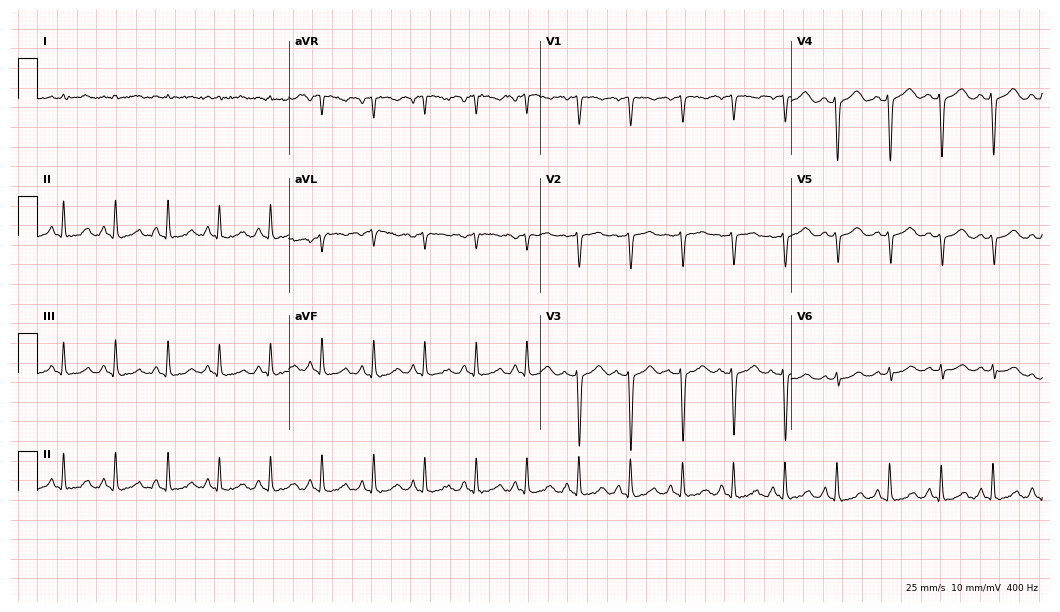
ECG (10.2-second recording at 400 Hz) — a woman, 61 years old. Findings include sinus tachycardia (a sinus rate of 100 beats per minute or more).